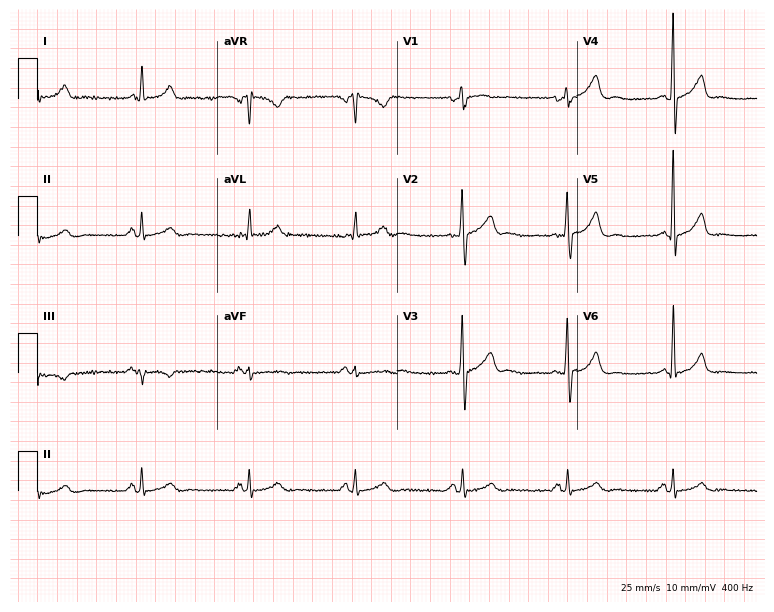
Standard 12-lead ECG recorded from a 64-year-old male patient (7.3-second recording at 400 Hz). None of these six findings is recorded: first-degree AV block, right bundle branch block (RBBB), left bundle branch block (LBBB), sinus bradycardia, atrial fibrillation (AF), sinus tachycardia.